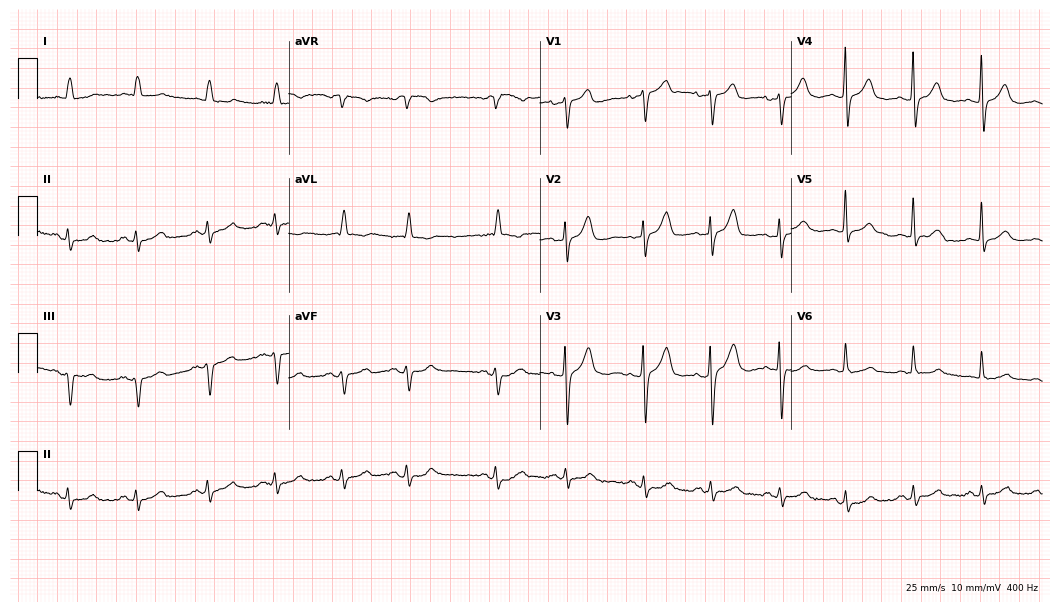
12-lead ECG from an 84-year-old female patient (10.2-second recording at 400 Hz). Recorded interpretation: within normal limits.